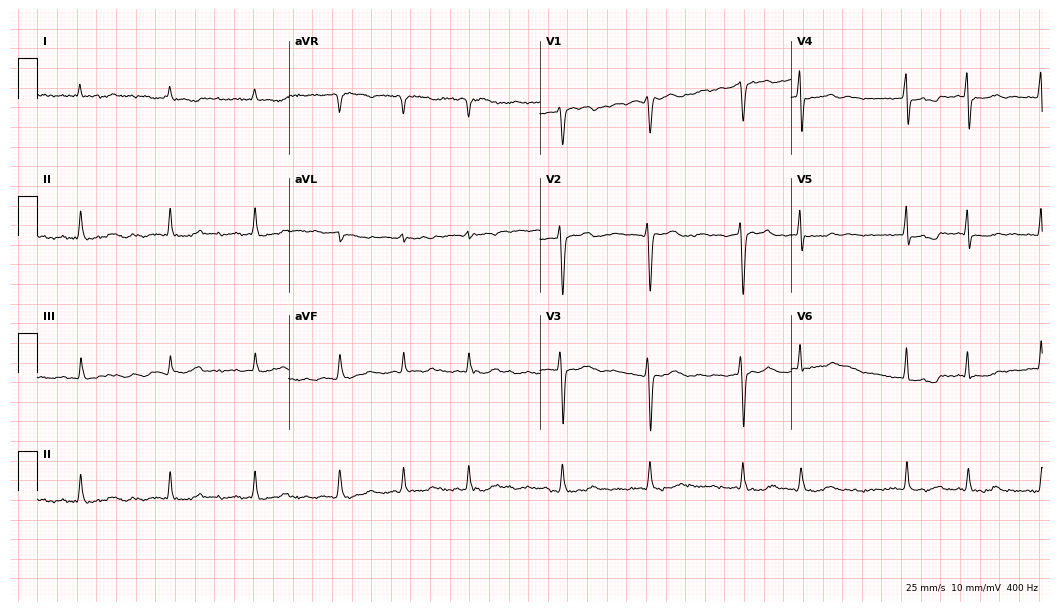
12-lead ECG from a 63-year-old female (10.2-second recording at 400 Hz). Shows atrial fibrillation.